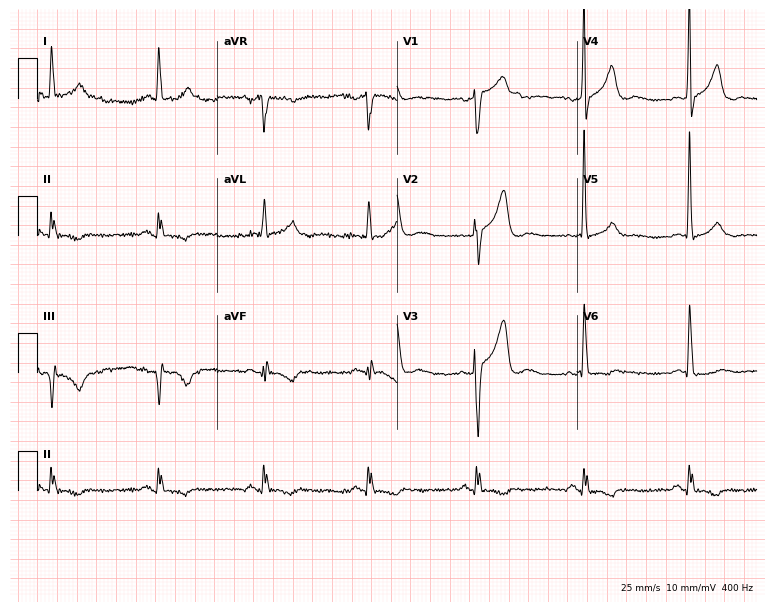
12-lead ECG (7.3-second recording at 400 Hz) from a 66-year-old male. Screened for six findings — first-degree AV block, right bundle branch block, left bundle branch block, sinus bradycardia, atrial fibrillation, sinus tachycardia — none is recorded.